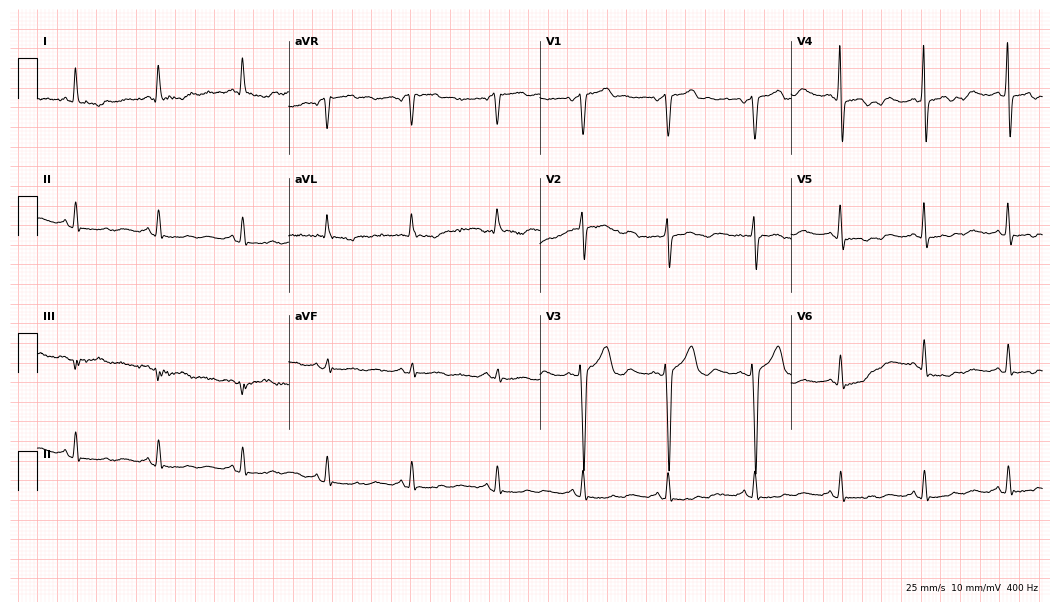
12-lead ECG from a 67-year-old male patient (10.2-second recording at 400 Hz). No first-degree AV block, right bundle branch block (RBBB), left bundle branch block (LBBB), sinus bradycardia, atrial fibrillation (AF) or sinus tachycardia recorded for this tracing.